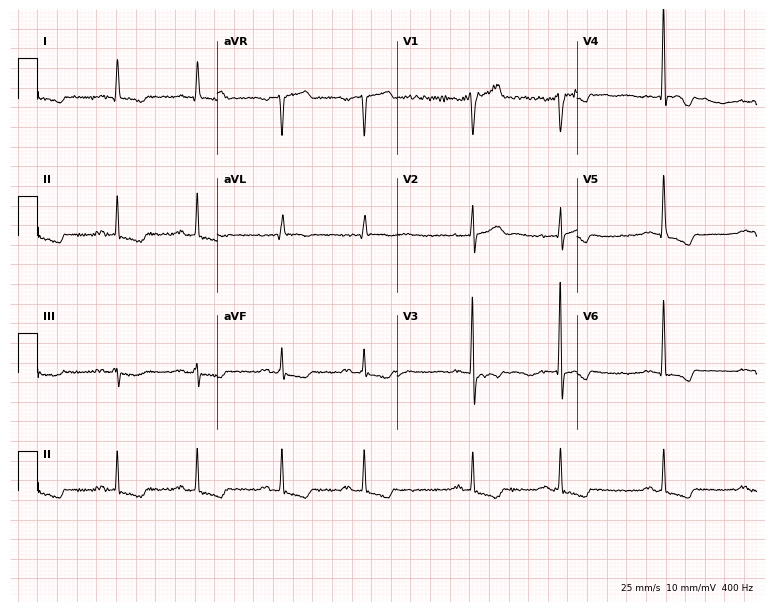
Standard 12-lead ECG recorded from a man, 58 years old. None of these six findings is recorded: first-degree AV block, right bundle branch block (RBBB), left bundle branch block (LBBB), sinus bradycardia, atrial fibrillation (AF), sinus tachycardia. Findings outside these six are not listed.